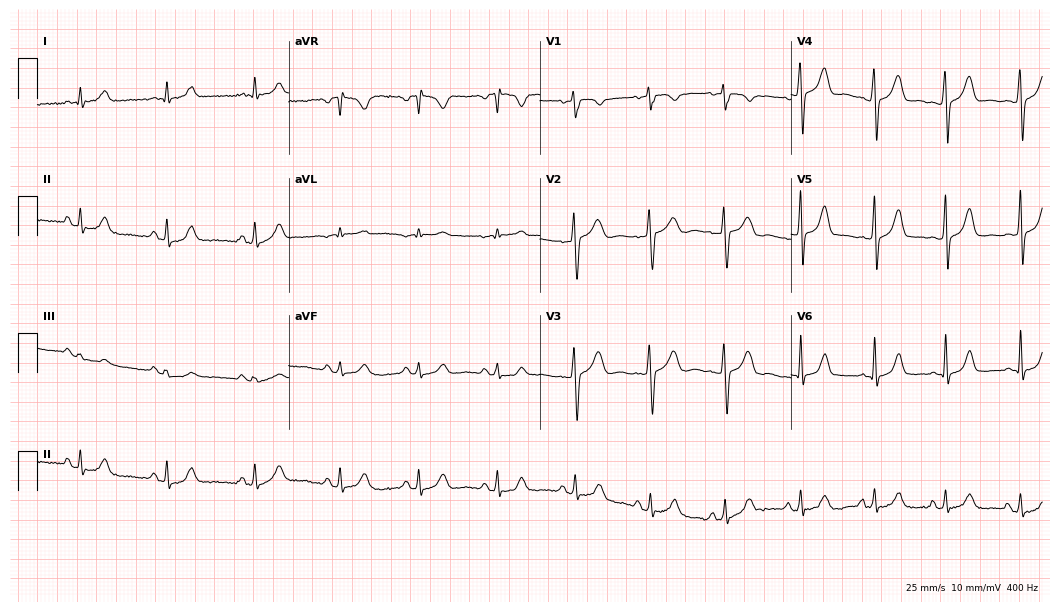
12-lead ECG (10.2-second recording at 400 Hz) from a female, 47 years old. Labelled as a normal ECG.